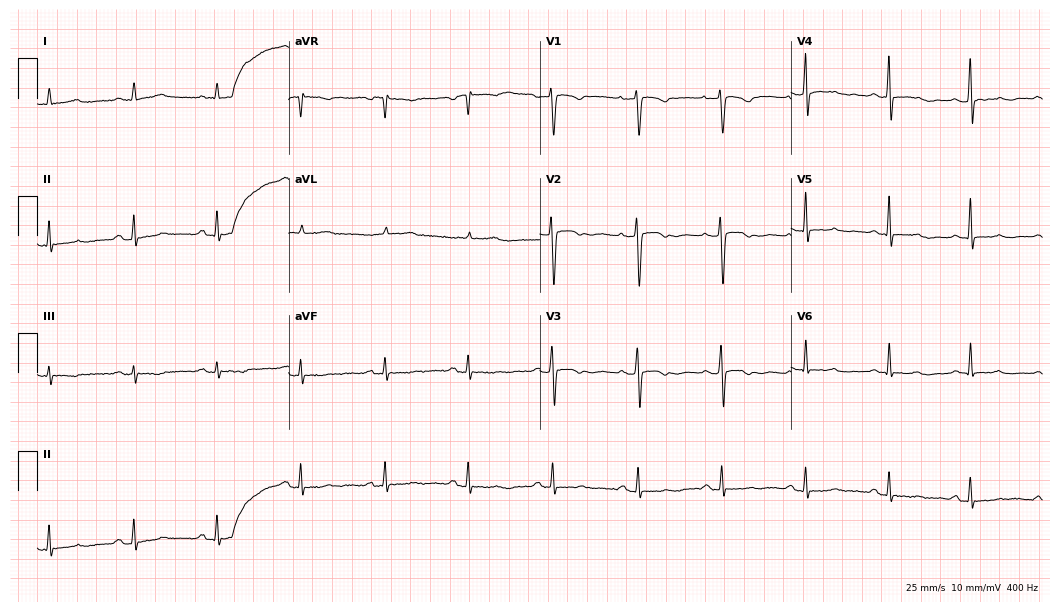
12-lead ECG from a female, 37 years old. No first-degree AV block, right bundle branch block, left bundle branch block, sinus bradycardia, atrial fibrillation or sinus tachycardia recorded for this tracing. Other findings, if any, are not listed.